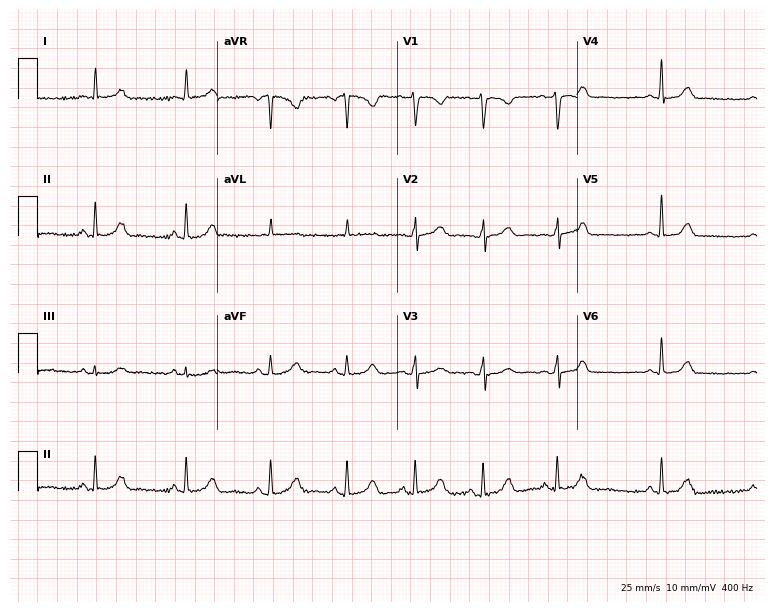
Electrocardiogram (7.3-second recording at 400 Hz), a 53-year-old woman. Overall reading on record: normal ECG.